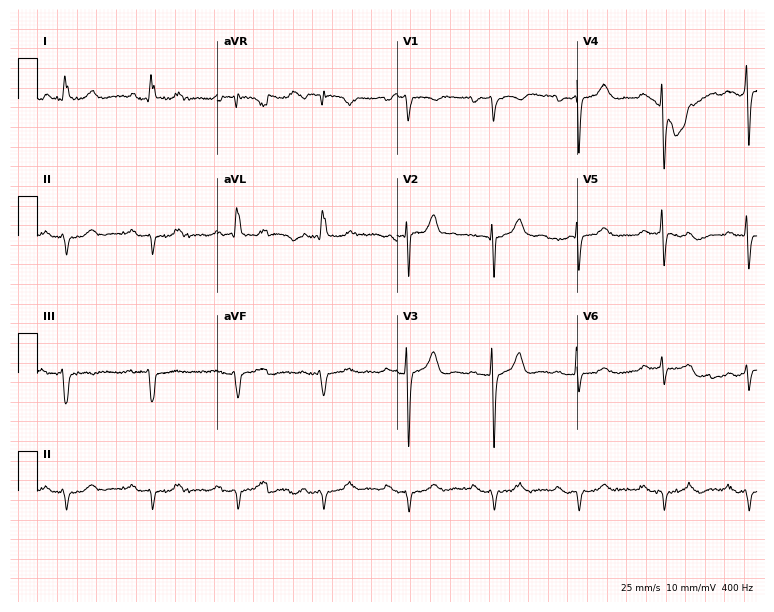
12-lead ECG from an 83-year-old male patient. No first-degree AV block, right bundle branch block (RBBB), left bundle branch block (LBBB), sinus bradycardia, atrial fibrillation (AF) or sinus tachycardia recorded for this tracing.